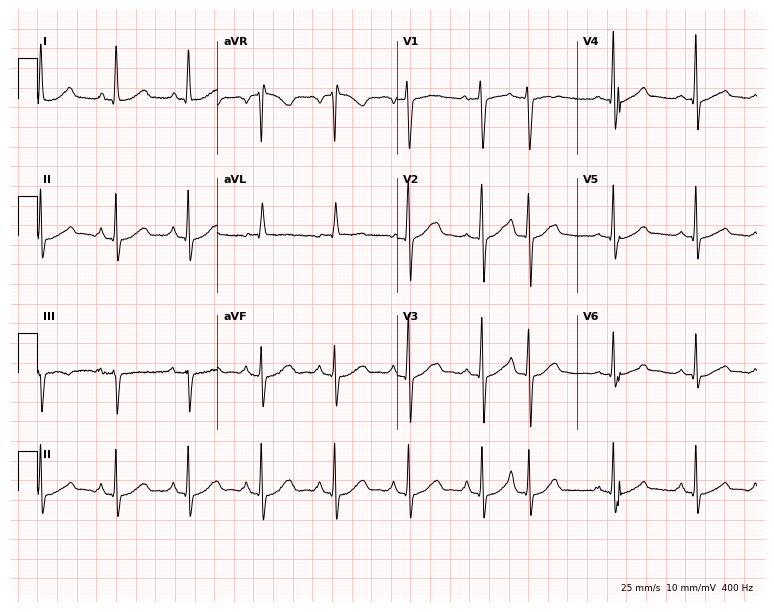
12-lead ECG from a 64-year-old female patient (7.3-second recording at 400 Hz). No first-degree AV block, right bundle branch block, left bundle branch block, sinus bradycardia, atrial fibrillation or sinus tachycardia recorded for this tracing.